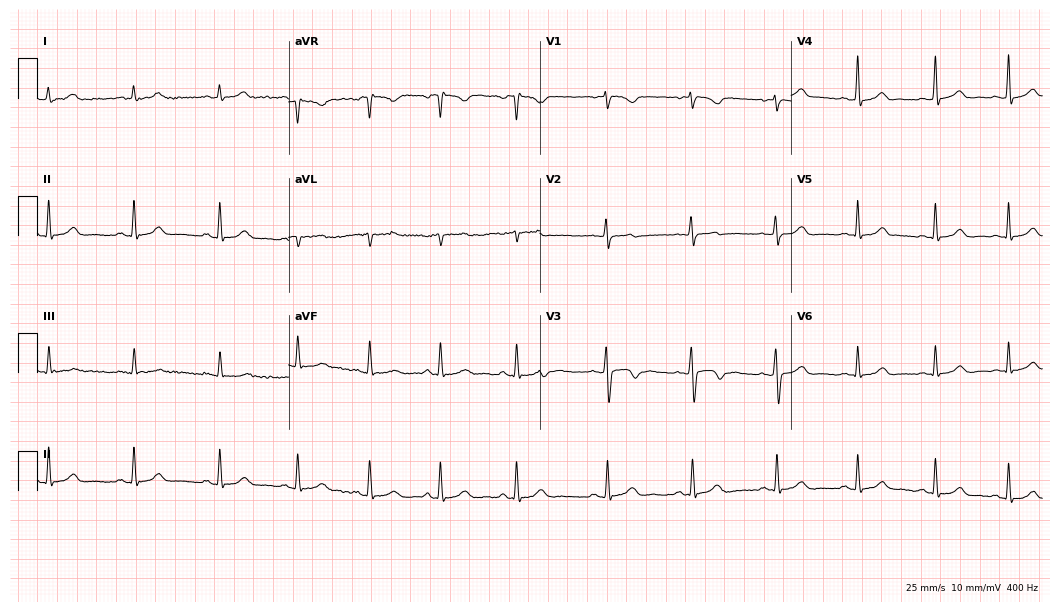
Resting 12-lead electrocardiogram. Patient: a female, 18 years old. Read as a normal ECG.